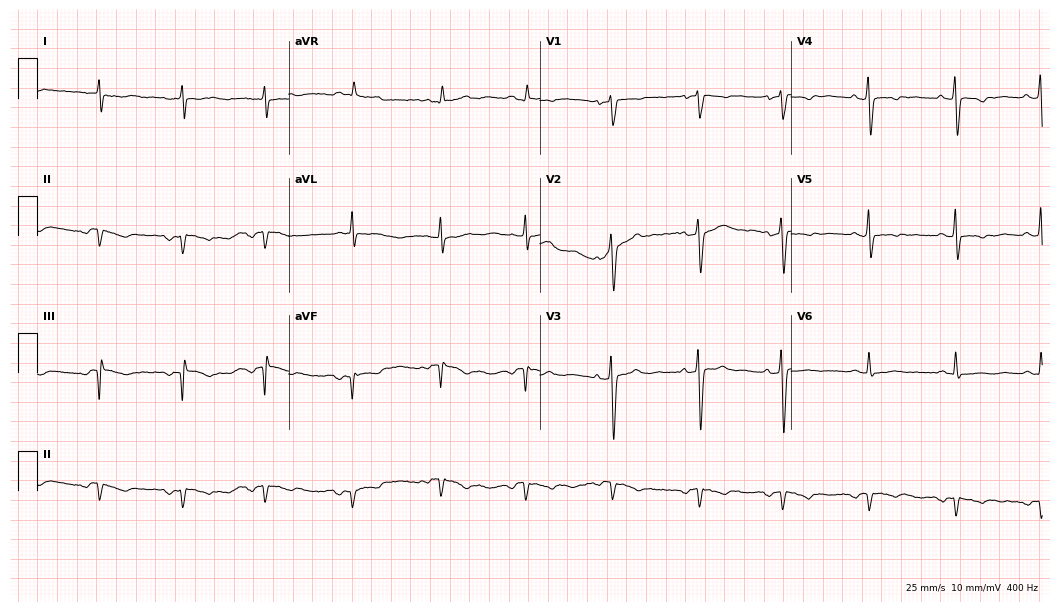
12-lead ECG (10.2-second recording at 400 Hz) from a woman, 38 years old. Screened for six findings — first-degree AV block, right bundle branch block (RBBB), left bundle branch block (LBBB), sinus bradycardia, atrial fibrillation (AF), sinus tachycardia — none is recorded.